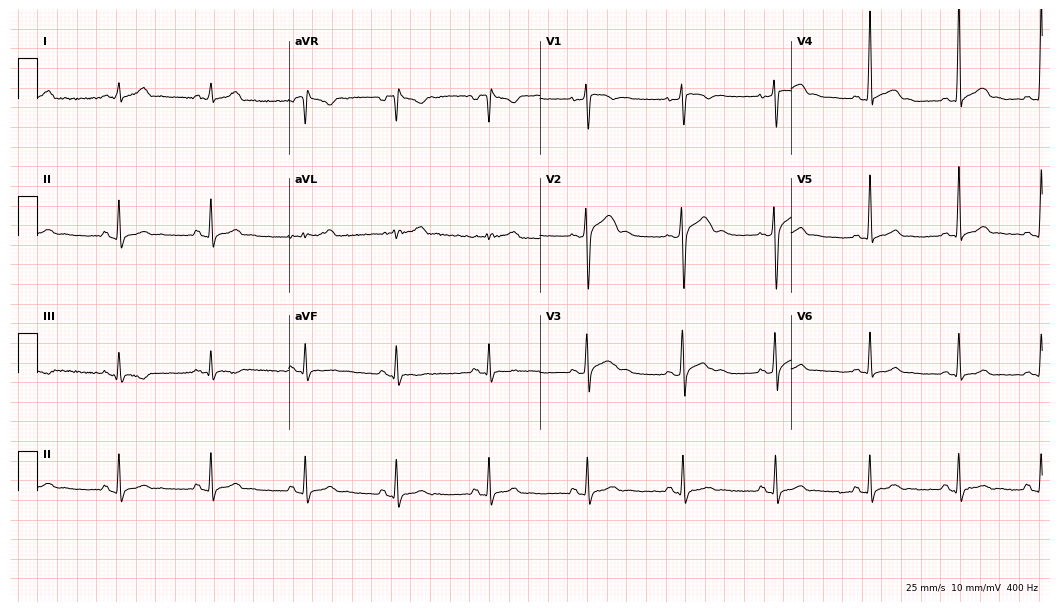
ECG (10.2-second recording at 400 Hz) — a 25-year-old male patient. Labelled as a normal ECG.